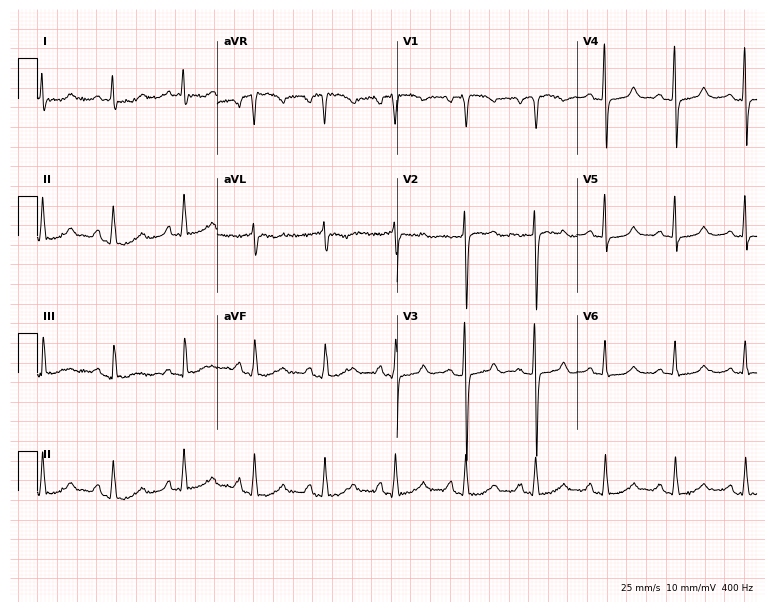
Standard 12-lead ECG recorded from a 74-year-old female (7.3-second recording at 400 Hz). None of these six findings is recorded: first-degree AV block, right bundle branch block (RBBB), left bundle branch block (LBBB), sinus bradycardia, atrial fibrillation (AF), sinus tachycardia.